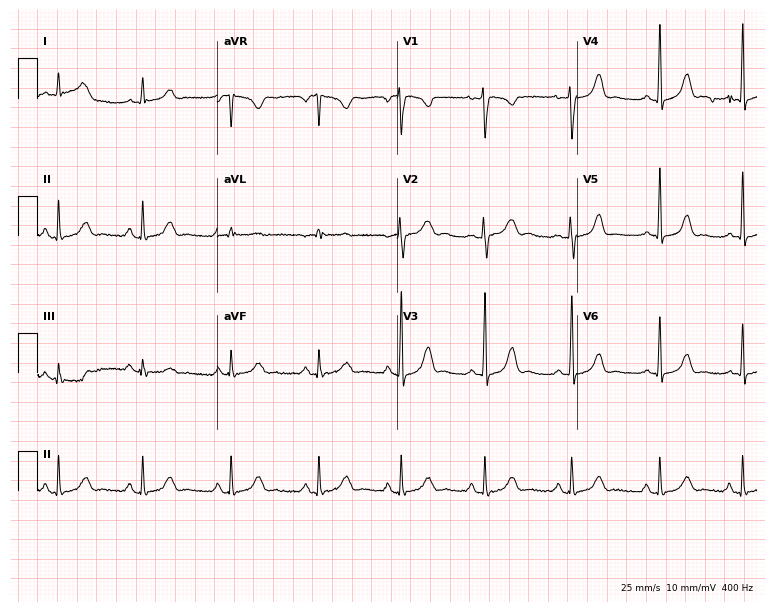
12-lead ECG from a 21-year-old female (7.3-second recording at 400 Hz). No first-degree AV block, right bundle branch block (RBBB), left bundle branch block (LBBB), sinus bradycardia, atrial fibrillation (AF) or sinus tachycardia recorded for this tracing.